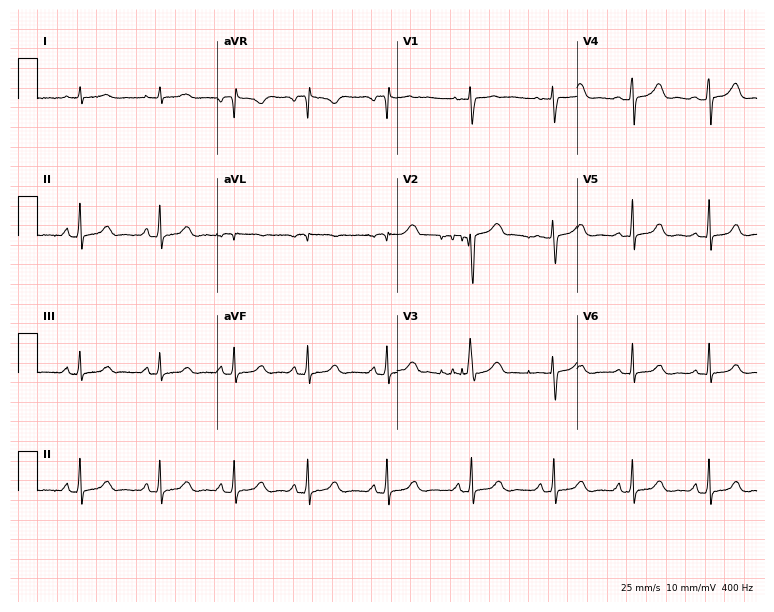
Resting 12-lead electrocardiogram (7.3-second recording at 400 Hz). Patient: a 42-year-old woman. None of these six findings is recorded: first-degree AV block, right bundle branch block (RBBB), left bundle branch block (LBBB), sinus bradycardia, atrial fibrillation (AF), sinus tachycardia.